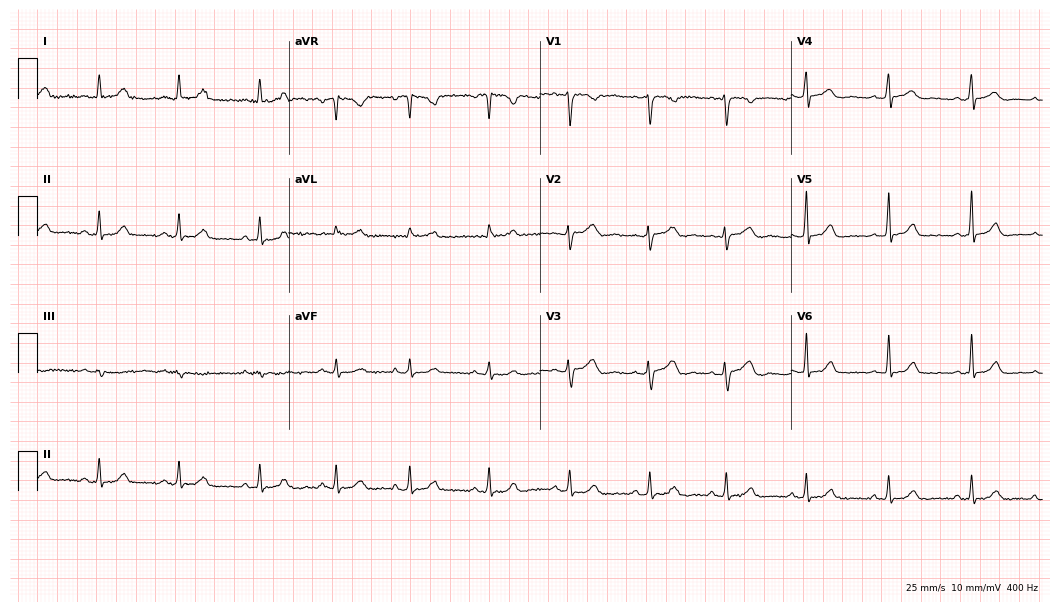
12-lead ECG from a woman, 26 years old (10.2-second recording at 400 Hz). Recorded interpretation: within normal limits.